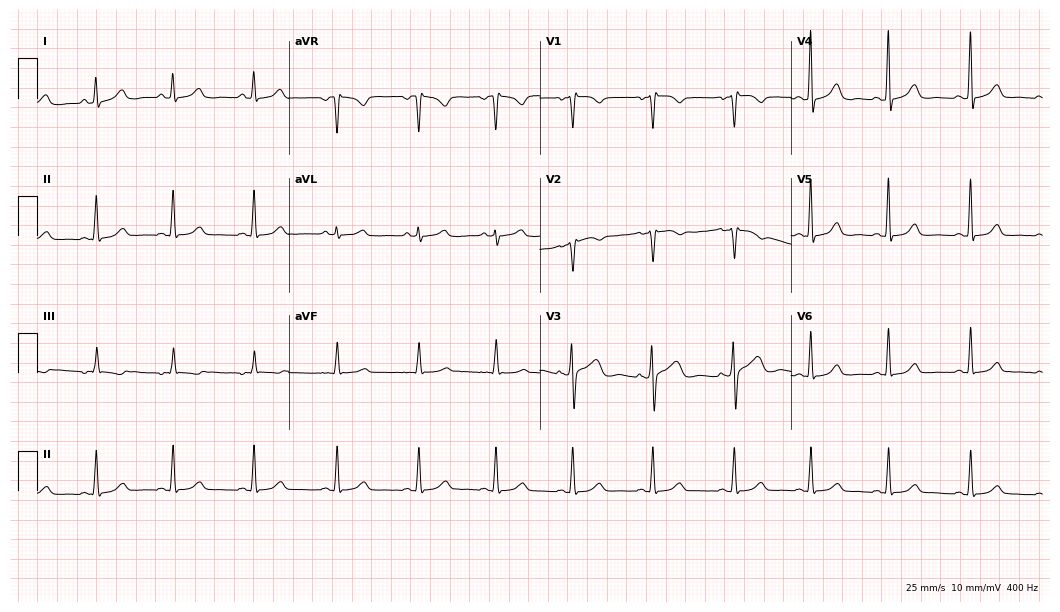
12-lead ECG from a female patient, 50 years old (10.2-second recording at 400 Hz). Recorded interpretation: within normal limits.